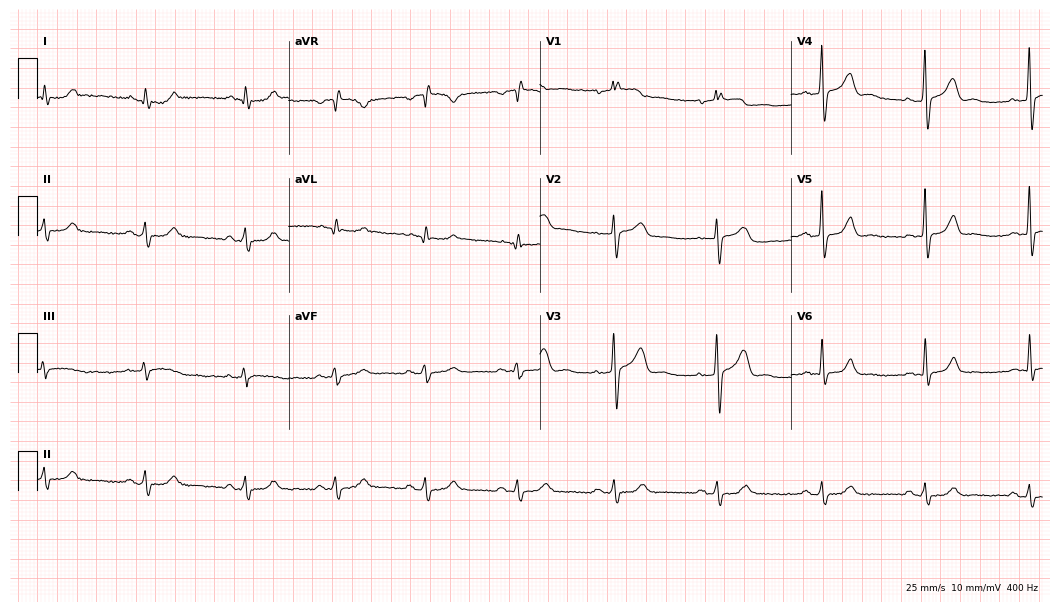
12-lead ECG (10.2-second recording at 400 Hz) from a male patient, 57 years old. Labelled as a normal ECG.